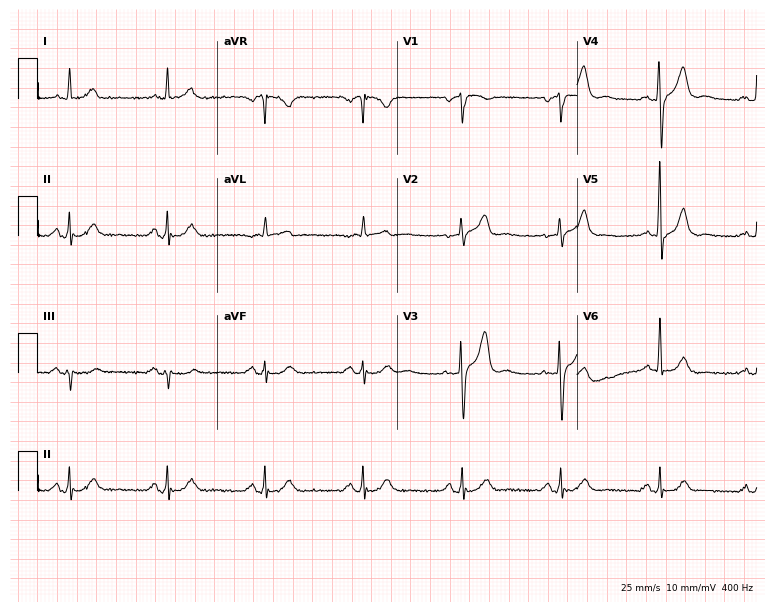
12-lead ECG from a 74-year-old man (7.3-second recording at 400 Hz). Recorded interpretation: within normal limits.